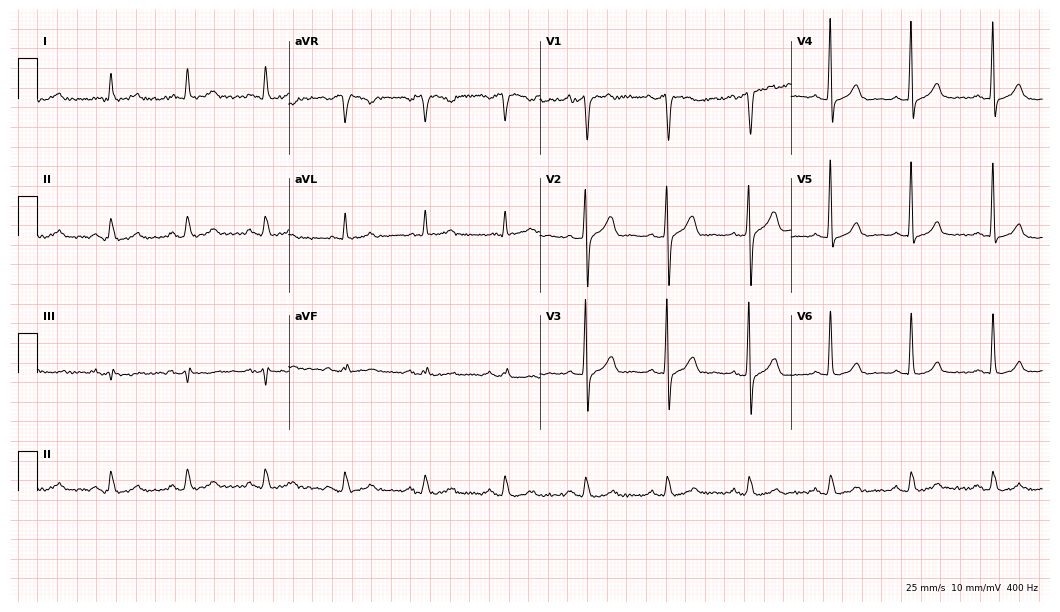
12-lead ECG from a male patient, 56 years old. Labelled as a normal ECG.